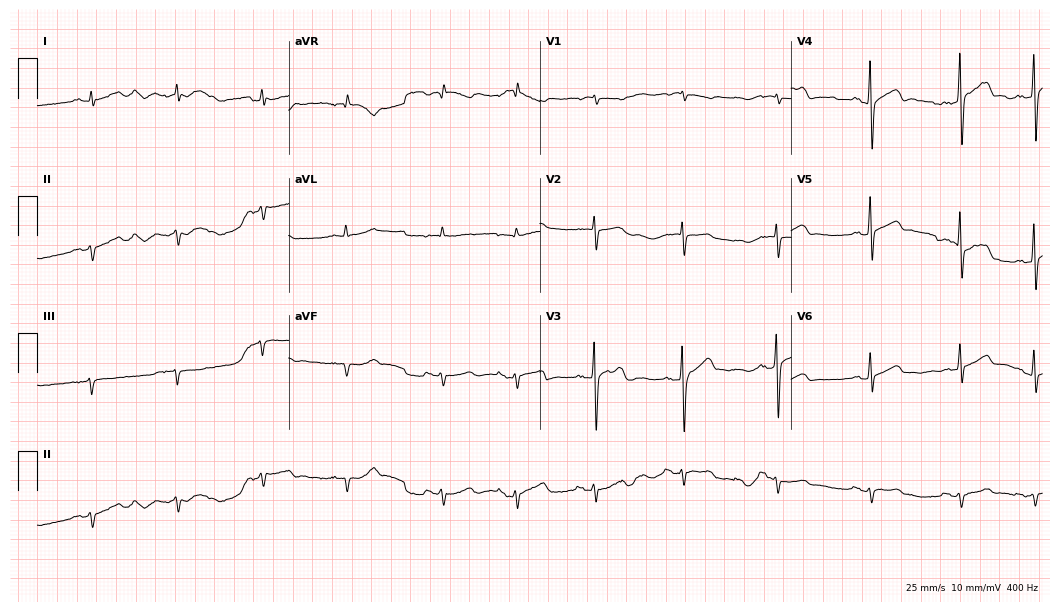
12-lead ECG from a male patient, 83 years old (10.2-second recording at 400 Hz). No first-degree AV block, right bundle branch block, left bundle branch block, sinus bradycardia, atrial fibrillation or sinus tachycardia recorded for this tracing. Findings outside these six are not listed.